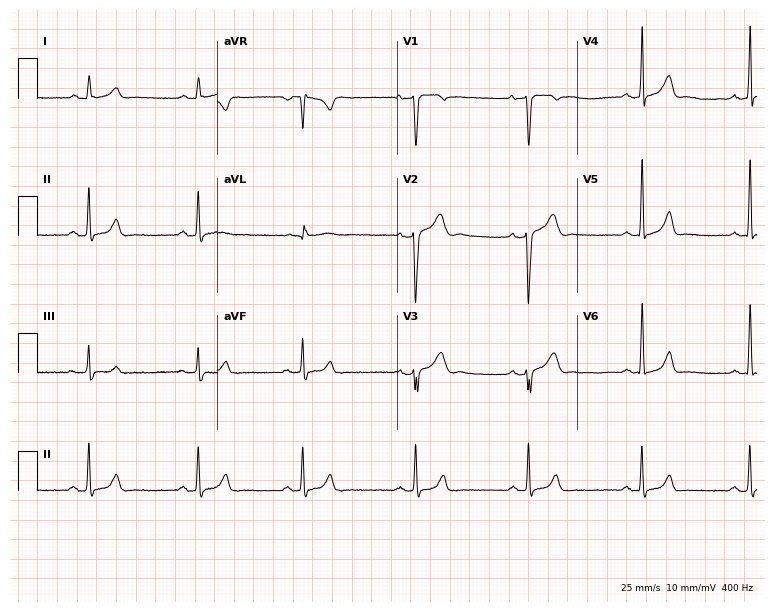
Electrocardiogram, a 22-year-old male. Of the six screened findings (first-degree AV block, right bundle branch block, left bundle branch block, sinus bradycardia, atrial fibrillation, sinus tachycardia), none is recorded.